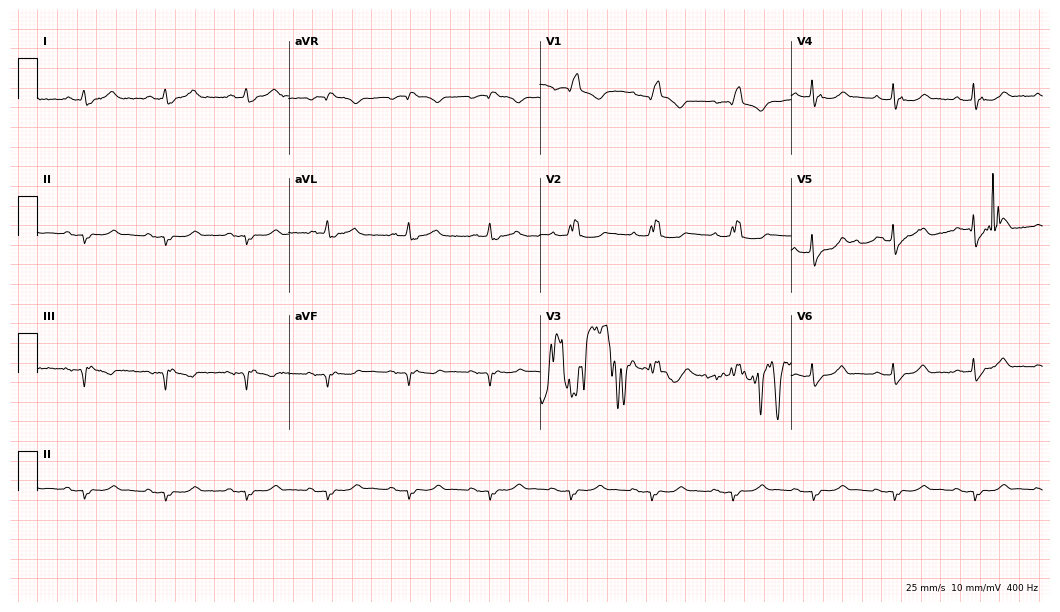
12-lead ECG from a male patient, 78 years old (10.2-second recording at 400 Hz). Shows right bundle branch block.